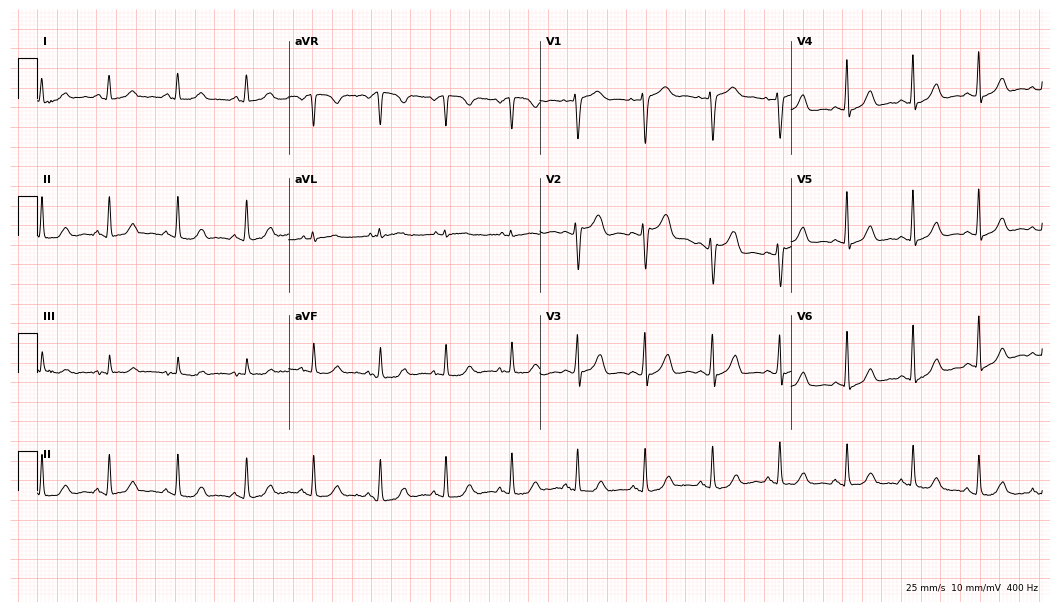
12-lead ECG from a 48-year-old woman (10.2-second recording at 400 Hz). No first-degree AV block, right bundle branch block (RBBB), left bundle branch block (LBBB), sinus bradycardia, atrial fibrillation (AF) or sinus tachycardia recorded for this tracing.